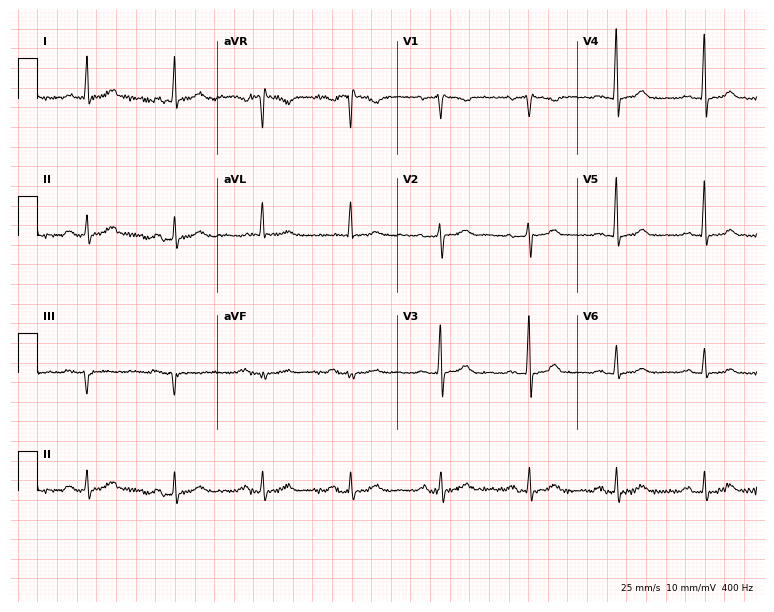
Resting 12-lead electrocardiogram. Patient: a 72-year-old woman. Read as a normal ECG.